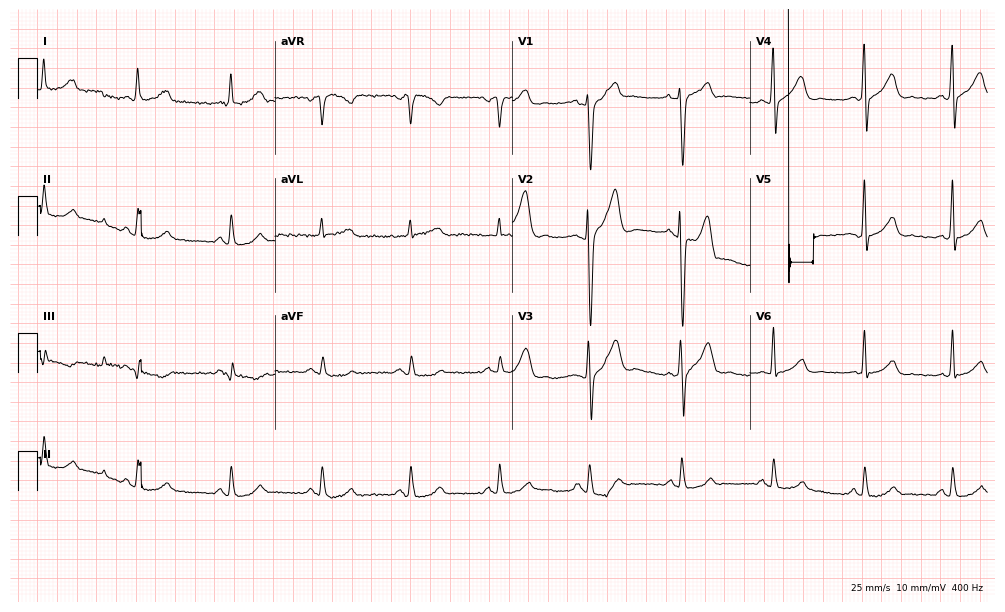
Standard 12-lead ECG recorded from a male patient, 46 years old (9.7-second recording at 400 Hz). None of these six findings is recorded: first-degree AV block, right bundle branch block, left bundle branch block, sinus bradycardia, atrial fibrillation, sinus tachycardia.